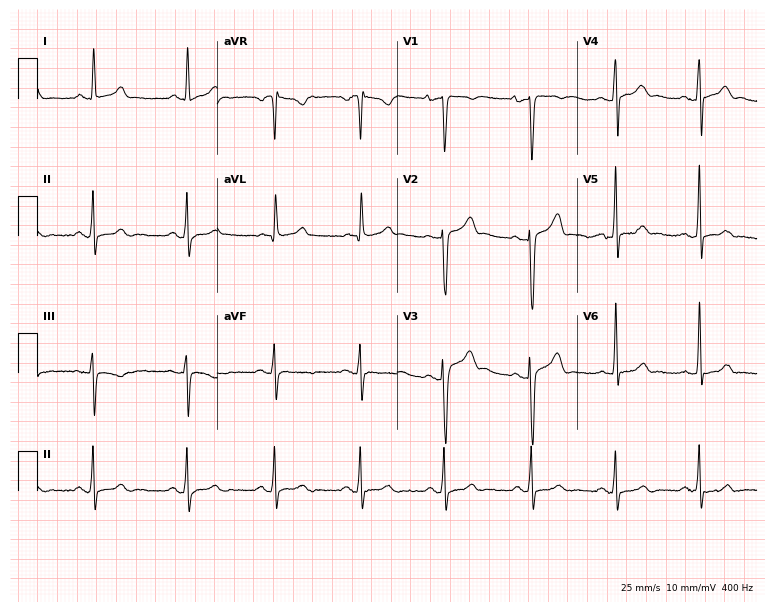
Electrocardiogram (7.3-second recording at 400 Hz), a 50-year-old male. Overall reading on record: normal ECG.